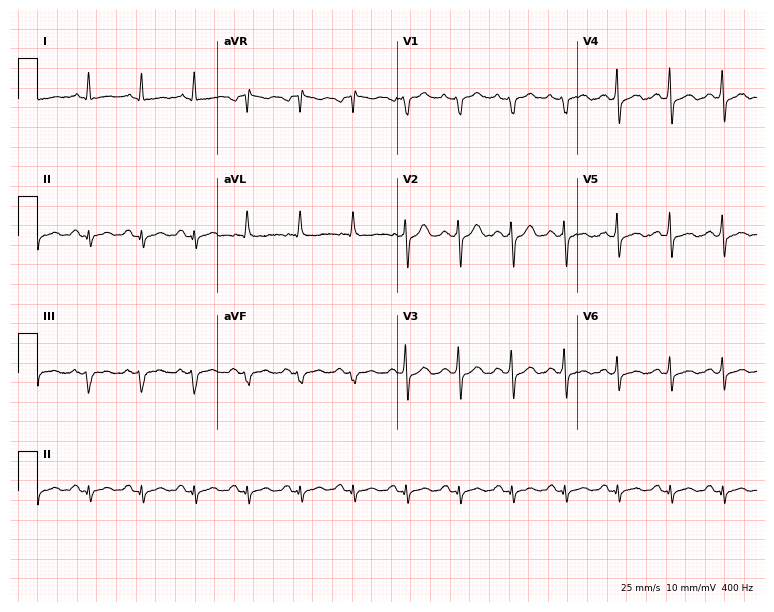
12-lead ECG from a 51-year-old male. Shows sinus tachycardia (a sinus rate of 100 beats per minute or more).